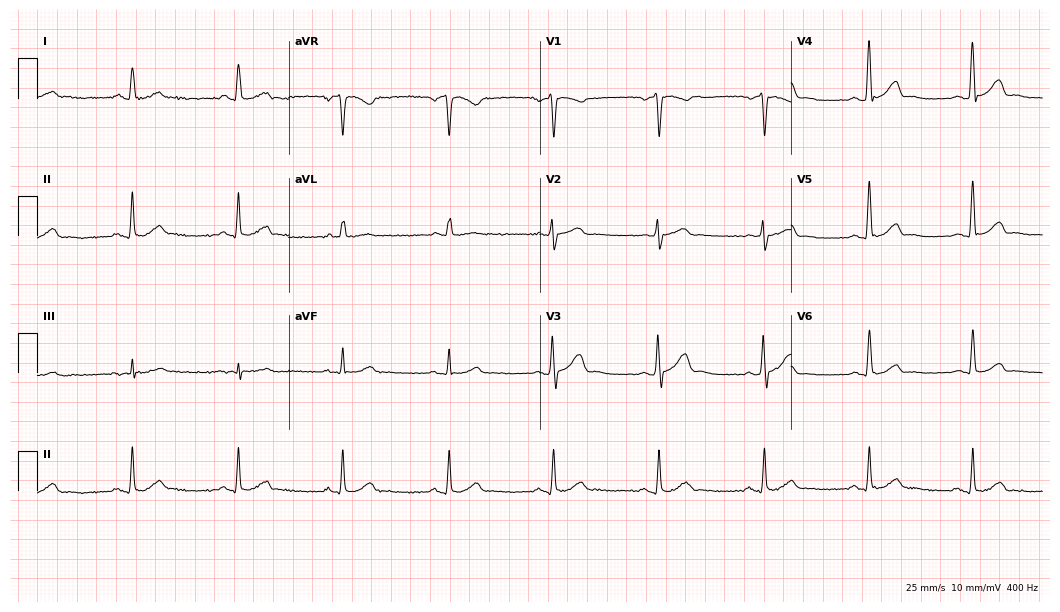
Standard 12-lead ECG recorded from a man, 63 years old (10.2-second recording at 400 Hz). Read as a normal ECG.